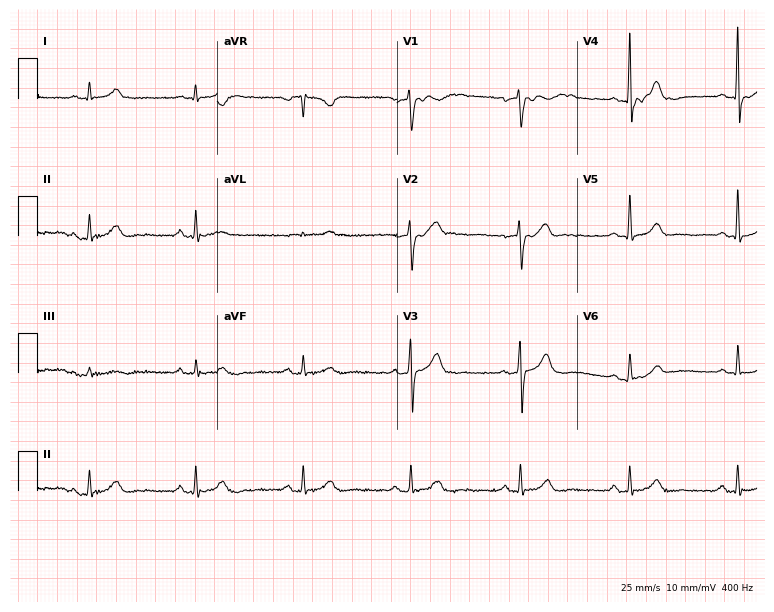
Resting 12-lead electrocardiogram. Patient: a 69-year-old man. None of these six findings is recorded: first-degree AV block, right bundle branch block, left bundle branch block, sinus bradycardia, atrial fibrillation, sinus tachycardia. Only these six findings were labelled.